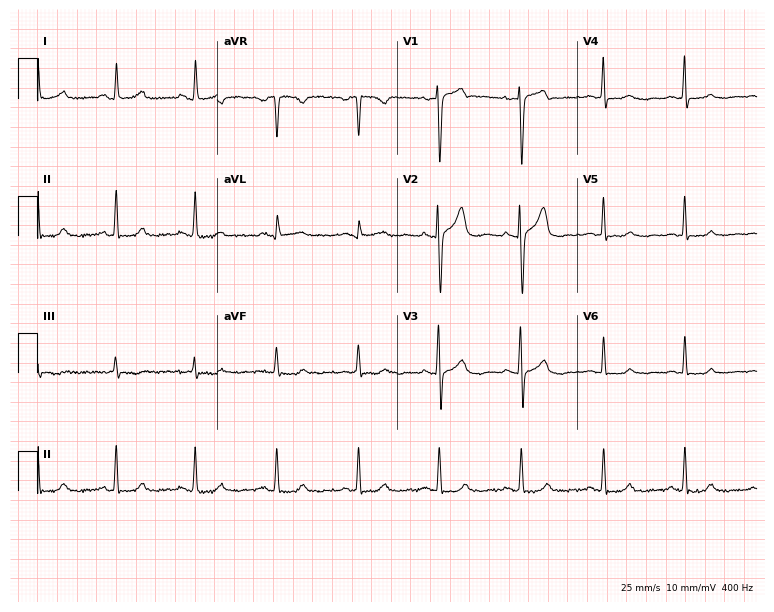
12-lead ECG from a woman, 41 years old (7.3-second recording at 400 Hz). Recorded interpretation: within normal limits.